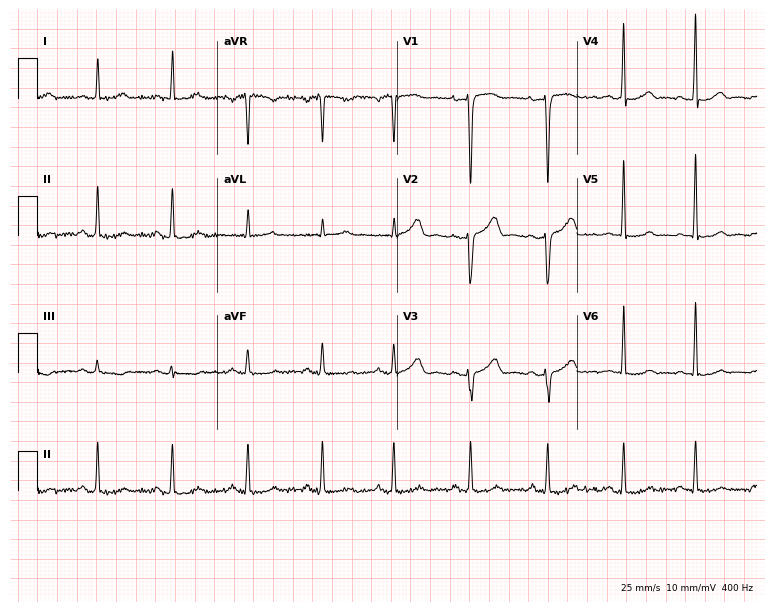
Resting 12-lead electrocardiogram (7.3-second recording at 400 Hz). Patient: a woman, 48 years old. None of these six findings is recorded: first-degree AV block, right bundle branch block (RBBB), left bundle branch block (LBBB), sinus bradycardia, atrial fibrillation (AF), sinus tachycardia. Findings outside these six are not listed.